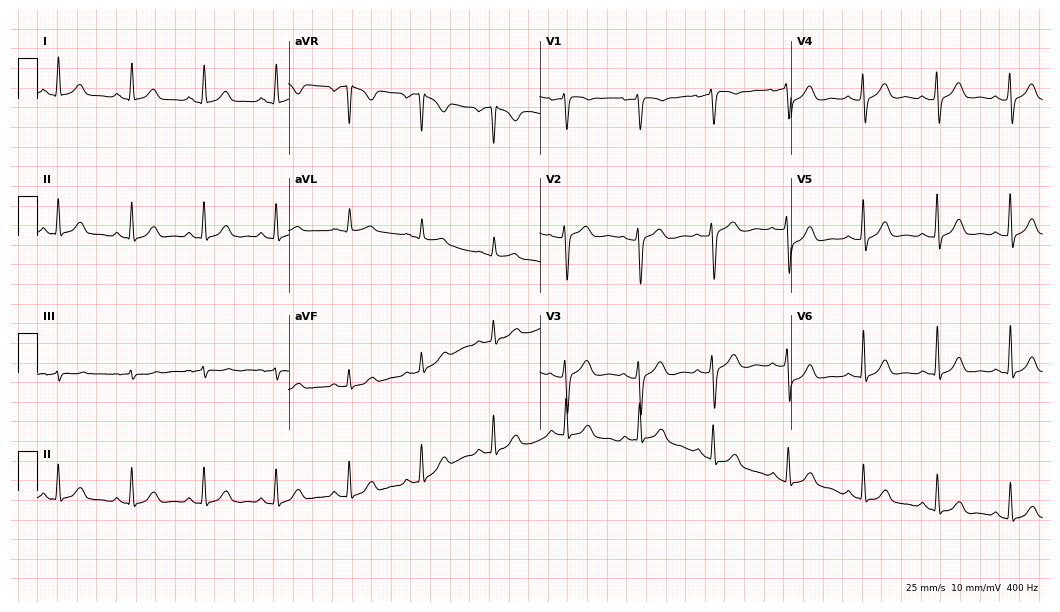
12-lead ECG from a female, 56 years old. No first-degree AV block, right bundle branch block, left bundle branch block, sinus bradycardia, atrial fibrillation or sinus tachycardia recorded for this tracing.